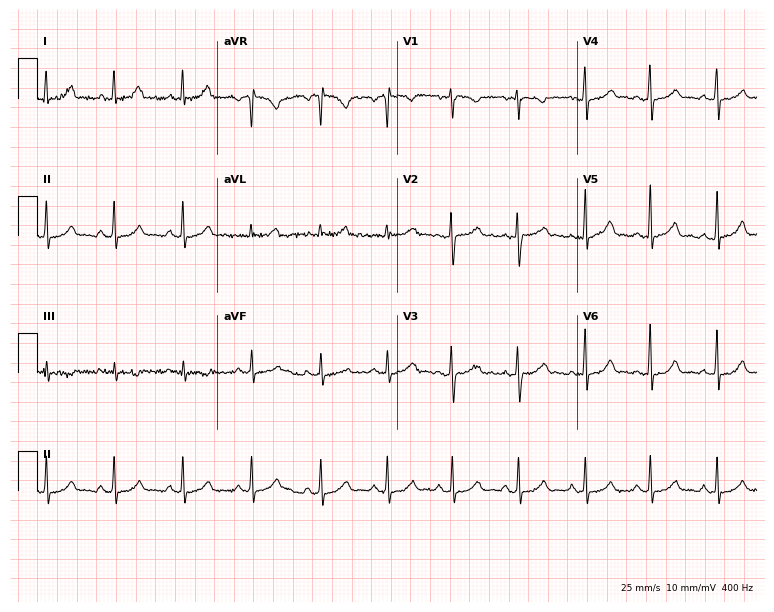
12-lead ECG from a 33-year-old woman. Labelled as a normal ECG.